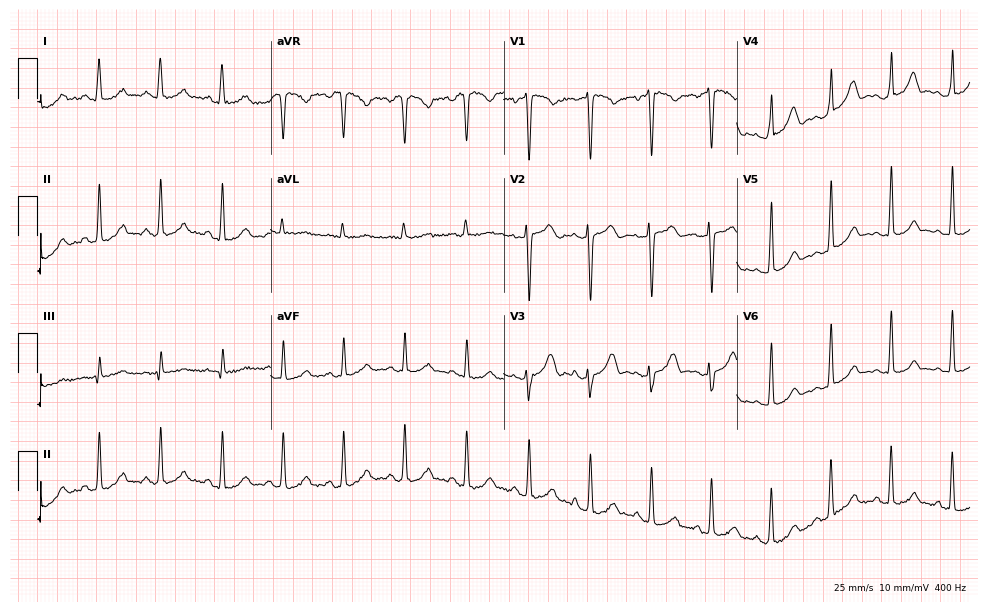
Electrocardiogram (9.5-second recording at 400 Hz), a female, 37 years old. Overall reading on record: normal ECG.